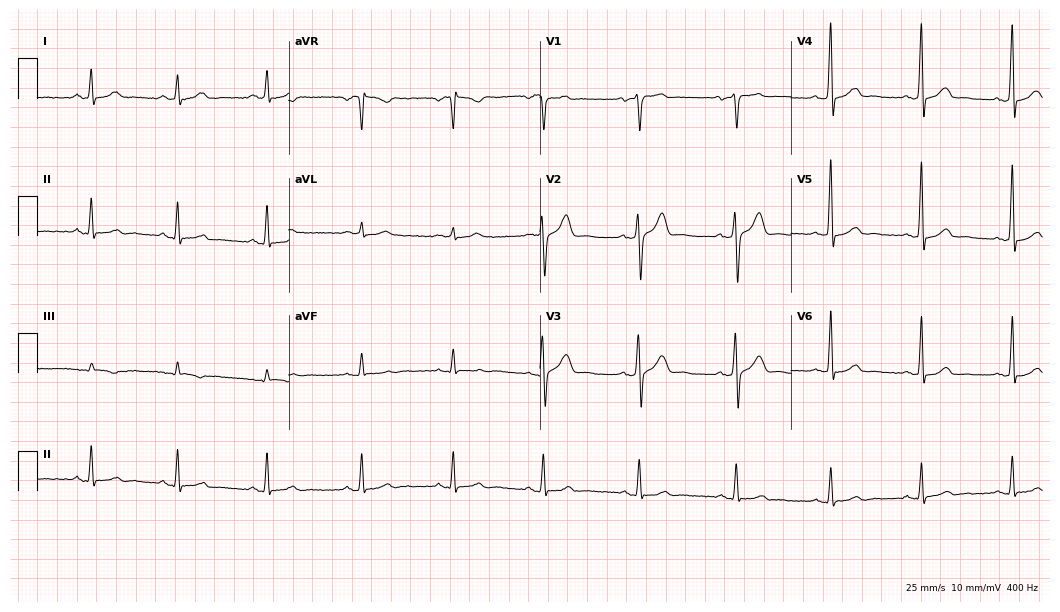
Resting 12-lead electrocardiogram (10.2-second recording at 400 Hz). Patient: a 64-year-old male. Read as a normal ECG.